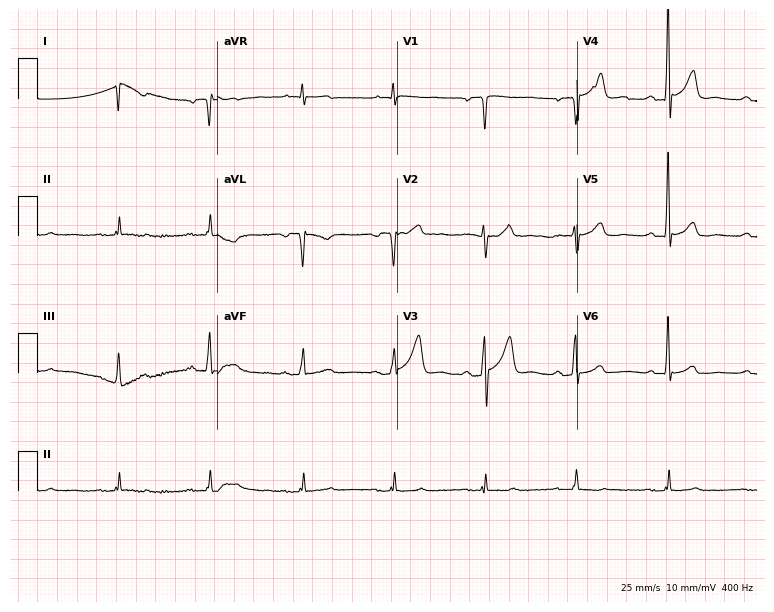
Electrocardiogram (7.3-second recording at 400 Hz), a male patient, 70 years old. Of the six screened findings (first-degree AV block, right bundle branch block, left bundle branch block, sinus bradycardia, atrial fibrillation, sinus tachycardia), none is recorded.